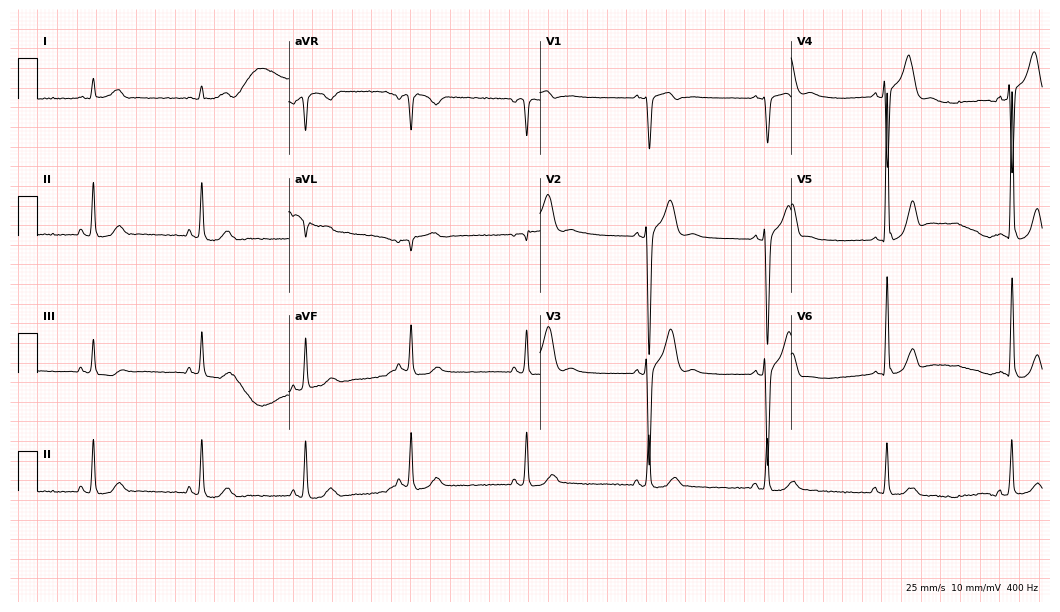
12-lead ECG from a 53-year-old male patient (10.2-second recording at 400 Hz). No first-degree AV block, right bundle branch block, left bundle branch block, sinus bradycardia, atrial fibrillation or sinus tachycardia recorded for this tracing.